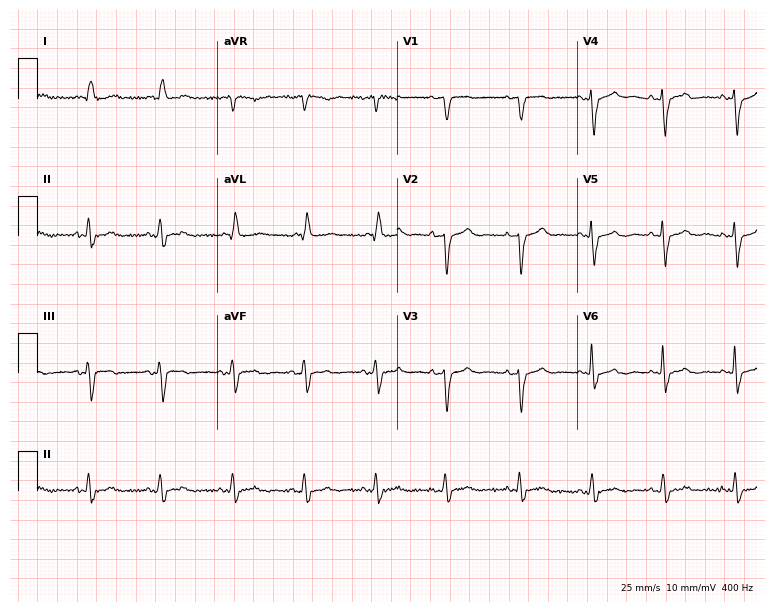
12-lead ECG from a female, 85 years old. Screened for six findings — first-degree AV block, right bundle branch block (RBBB), left bundle branch block (LBBB), sinus bradycardia, atrial fibrillation (AF), sinus tachycardia — none is recorded. Other findings, if any, are not listed.